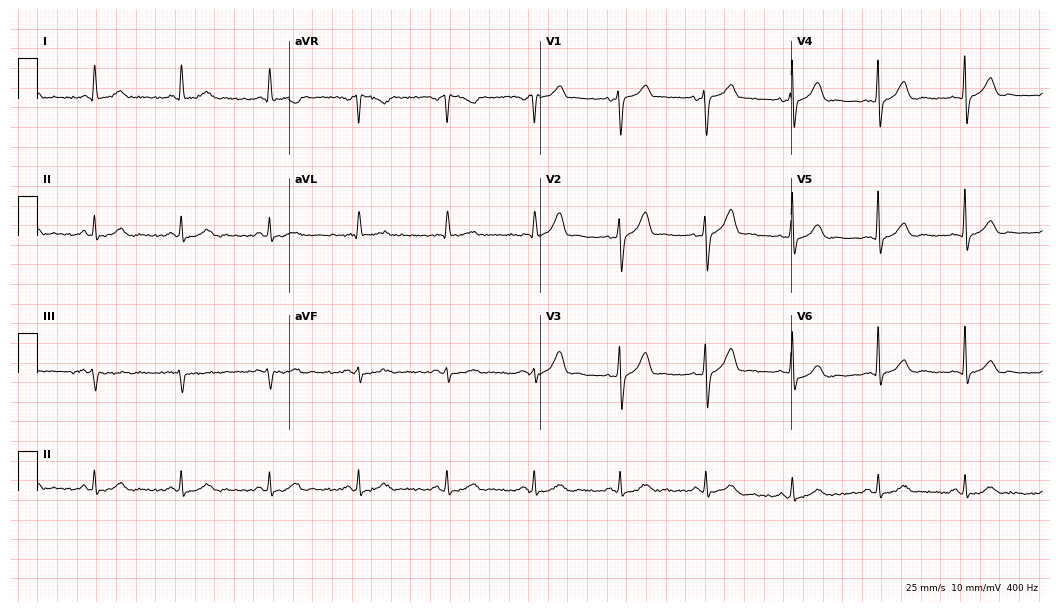
Electrocardiogram, a male, 64 years old. Overall reading on record: normal ECG.